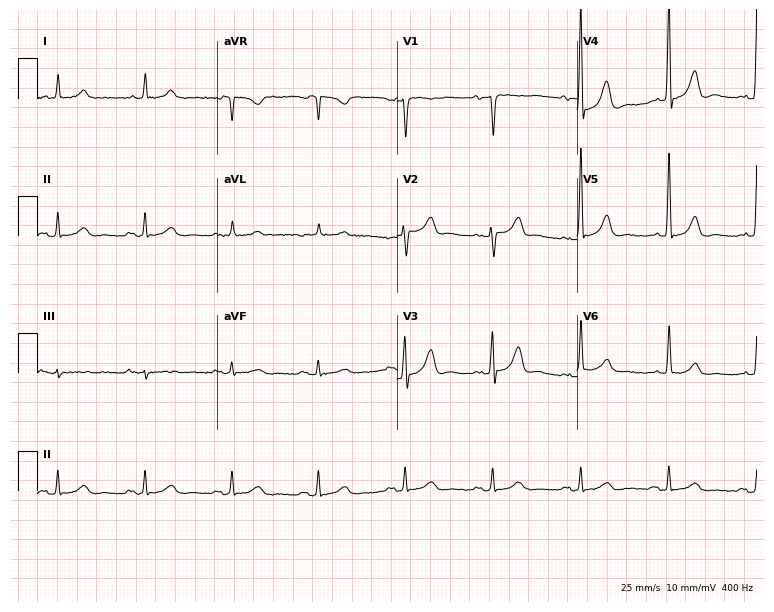
Resting 12-lead electrocardiogram (7.3-second recording at 400 Hz). Patient: a 60-year-old male. None of these six findings is recorded: first-degree AV block, right bundle branch block, left bundle branch block, sinus bradycardia, atrial fibrillation, sinus tachycardia.